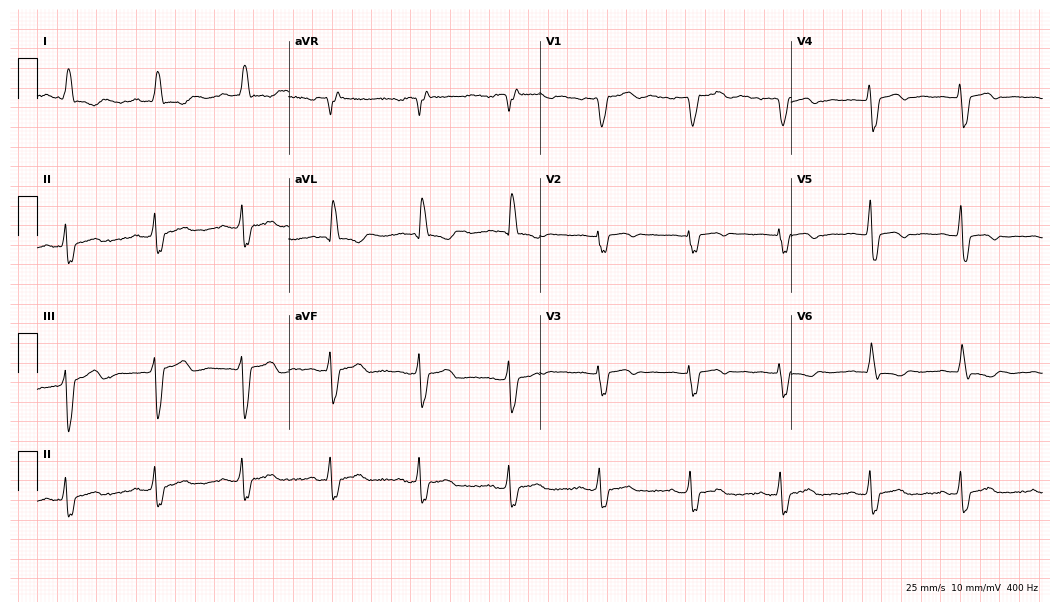
ECG (10.2-second recording at 400 Hz) — a woman, 64 years old. Findings include left bundle branch block (LBBB).